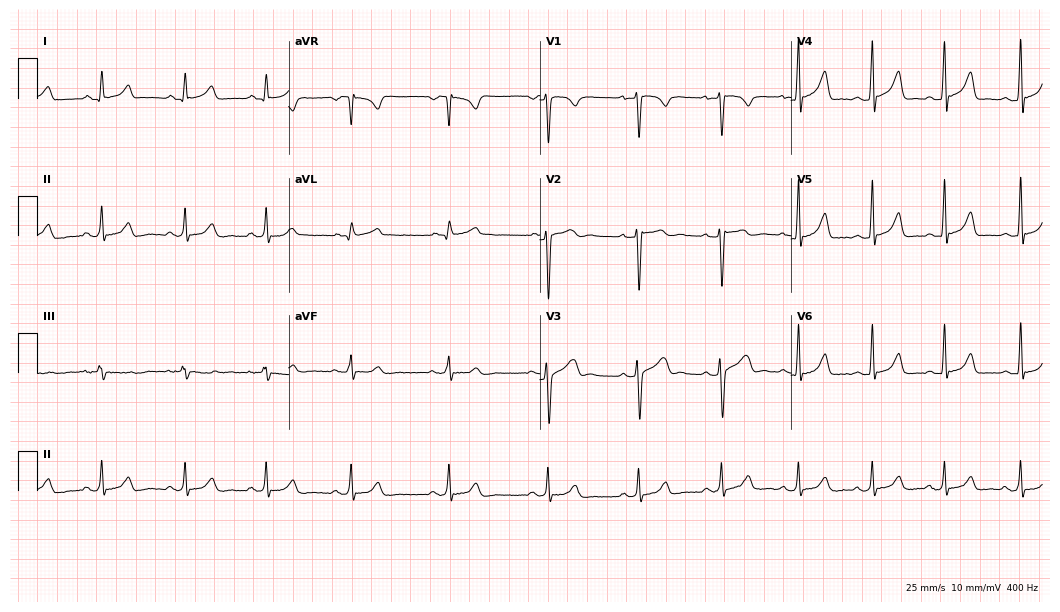
12-lead ECG (10.2-second recording at 400 Hz) from a male patient, 18 years old. Labelled as a normal ECG.